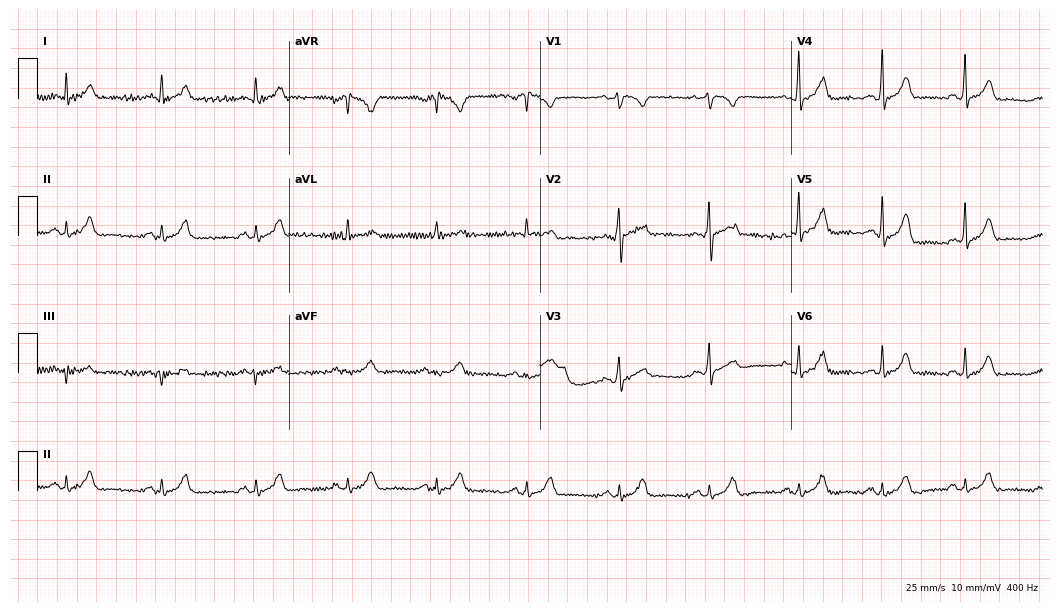
ECG (10.2-second recording at 400 Hz) — a 46-year-old male. Labelled as a normal ECG.